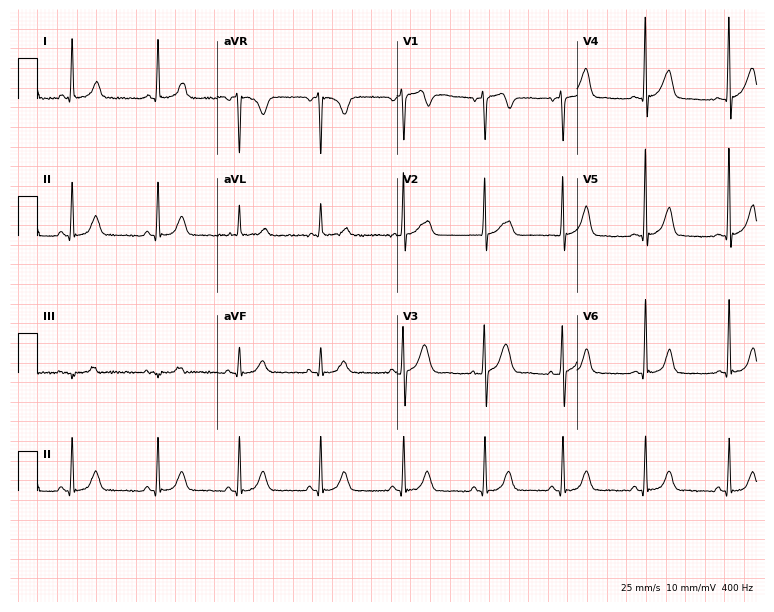
Standard 12-lead ECG recorded from a 52-year-old man (7.3-second recording at 400 Hz). Read as a normal ECG.